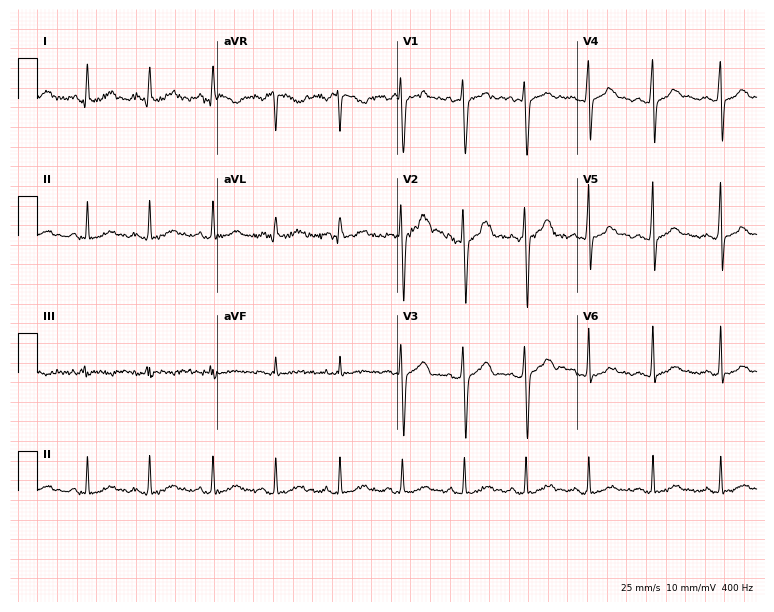
Resting 12-lead electrocardiogram. Patient: a man, 20 years old. Read as a normal ECG.